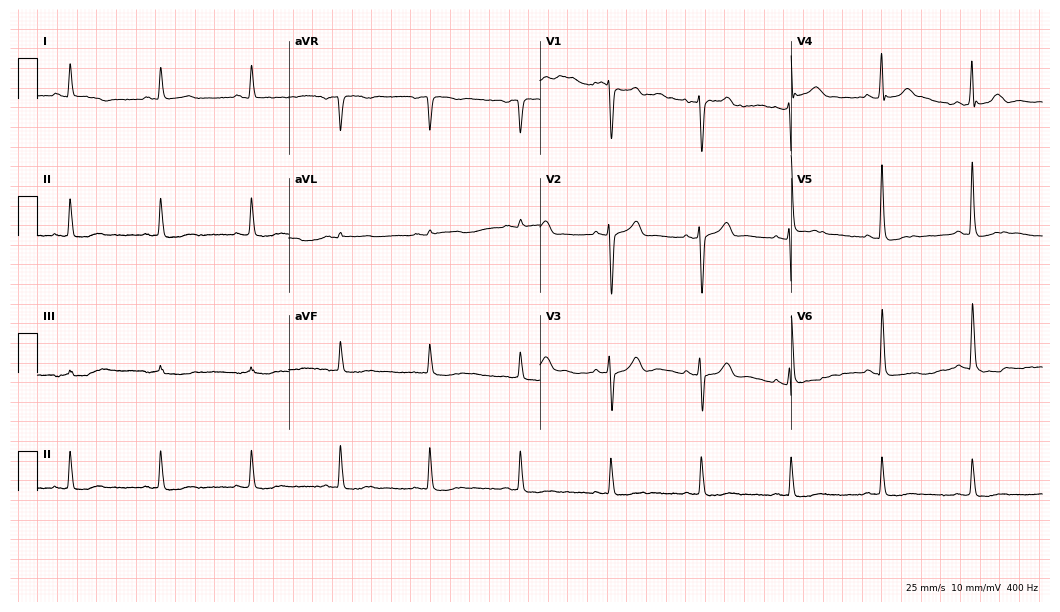
Standard 12-lead ECG recorded from a 62-year-old male (10.2-second recording at 400 Hz). None of these six findings is recorded: first-degree AV block, right bundle branch block, left bundle branch block, sinus bradycardia, atrial fibrillation, sinus tachycardia.